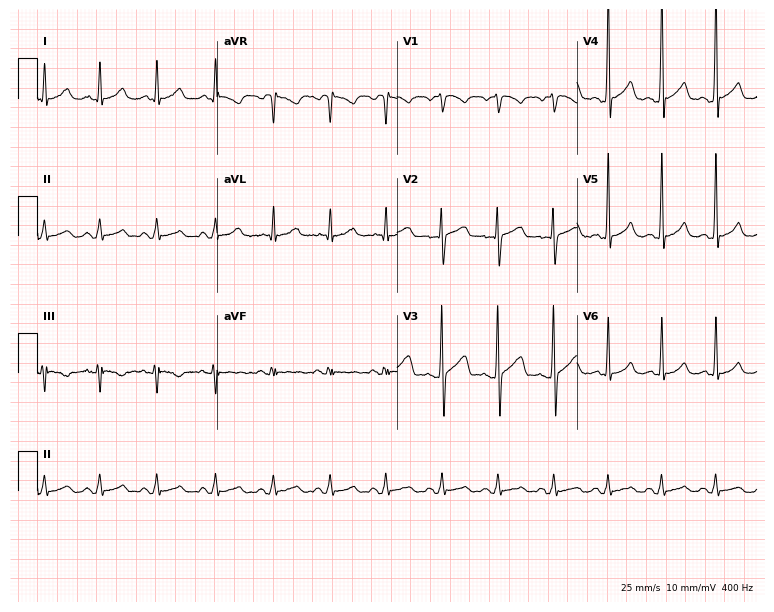
Resting 12-lead electrocardiogram (7.3-second recording at 400 Hz). Patient: a 39-year-old man. The tracing shows sinus tachycardia (a sinus rate of 100 beats per minute or more).